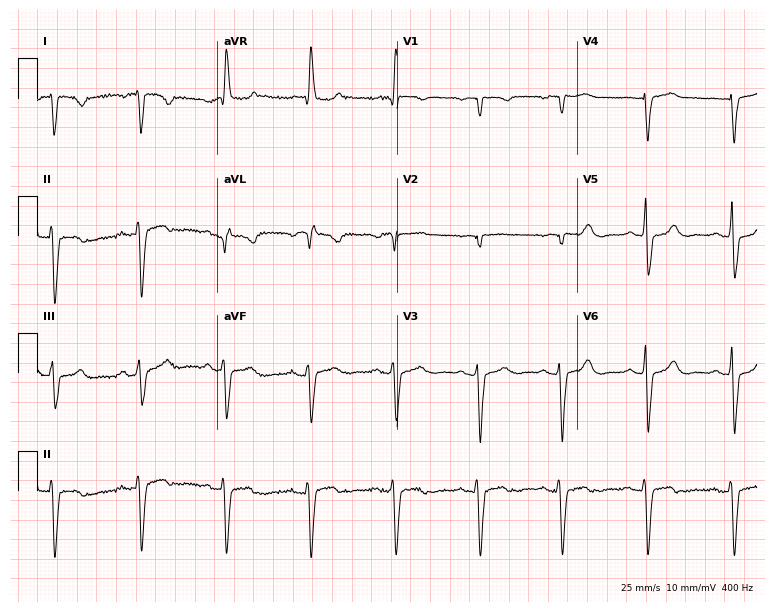
12-lead ECG (7.3-second recording at 400 Hz) from a female, 67 years old. Screened for six findings — first-degree AV block, right bundle branch block, left bundle branch block, sinus bradycardia, atrial fibrillation, sinus tachycardia — none is recorded.